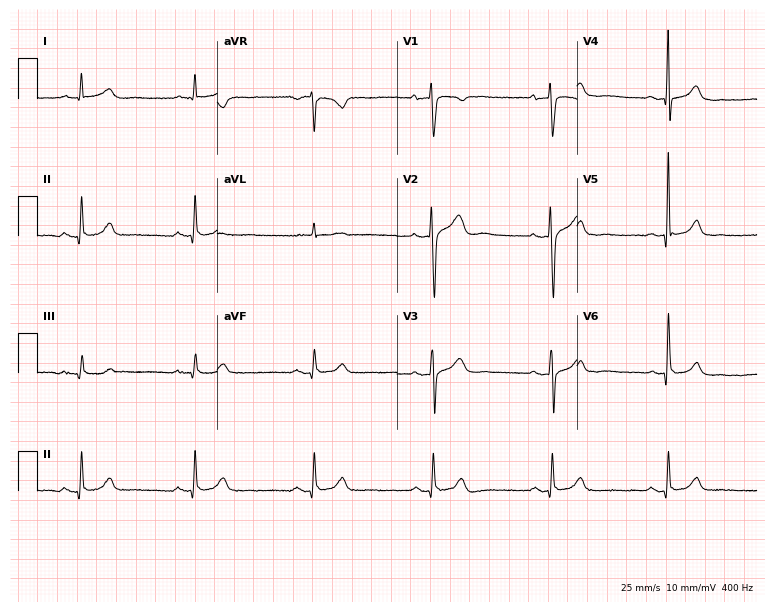
12-lead ECG (7.3-second recording at 400 Hz) from a male patient, 52 years old. Screened for six findings — first-degree AV block, right bundle branch block, left bundle branch block, sinus bradycardia, atrial fibrillation, sinus tachycardia — none is recorded.